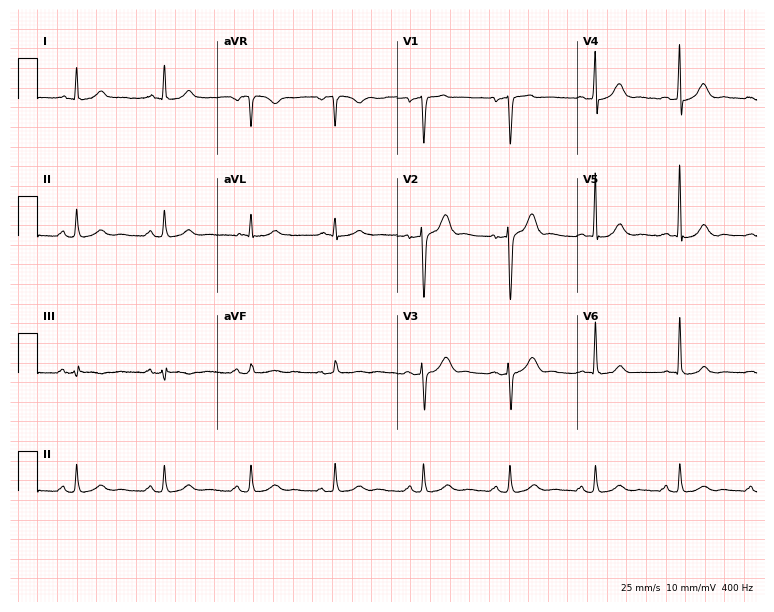
12-lead ECG from a man, 62 years old. Labelled as a normal ECG.